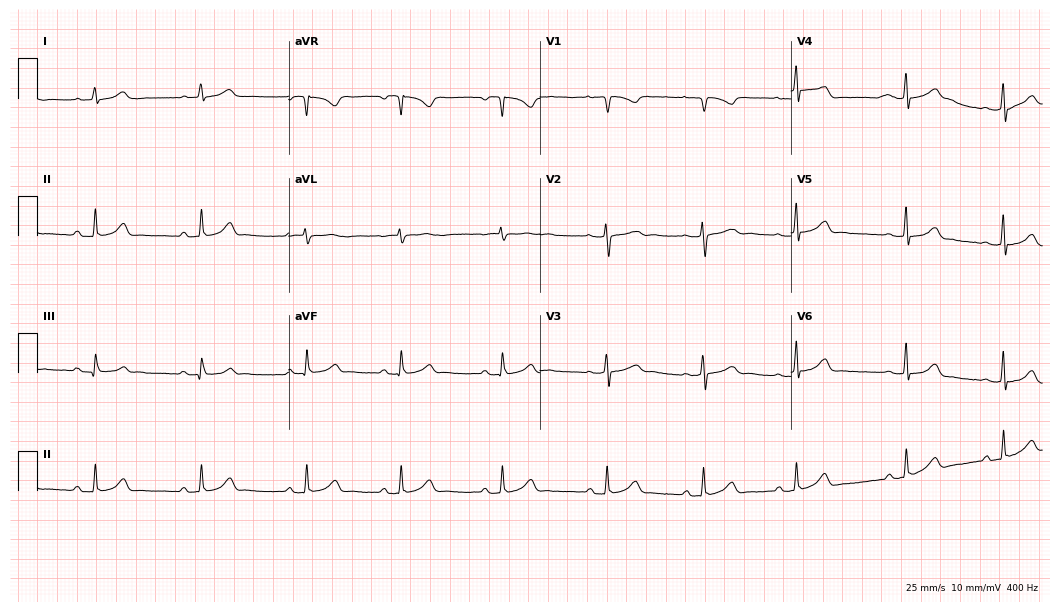
12-lead ECG (10.2-second recording at 400 Hz) from a female patient, 27 years old. Labelled as a normal ECG.